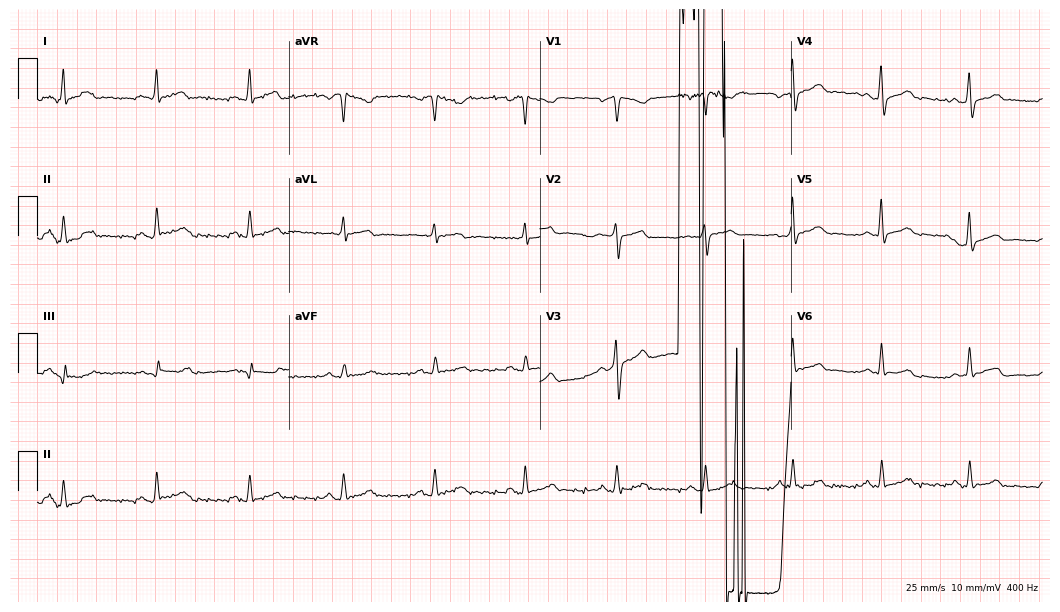
Resting 12-lead electrocardiogram (10.2-second recording at 400 Hz). Patient: a 51-year-old woman. None of these six findings is recorded: first-degree AV block, right bundle branch block (RBBB), left bundle branch block (LBBB), sinus bradycardia, atrial fibrillation (AF), sinus tachycardia.